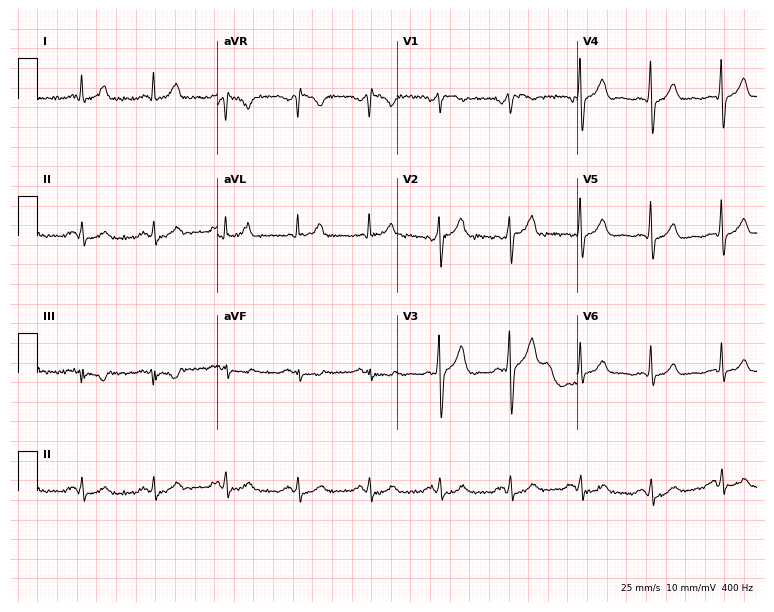
Standard 12-lead ECG recorded from a 63-year-old male patient (7.3-second recording at 400 Hz). None of these six findings is recorded: first-degree AV block, right bundle branch block (RBBB), left bundle branch block (LBBB), sinus bradycardia, atrial fibrillation (AF), sinus tachycardia. Findings outside these six are not listed.